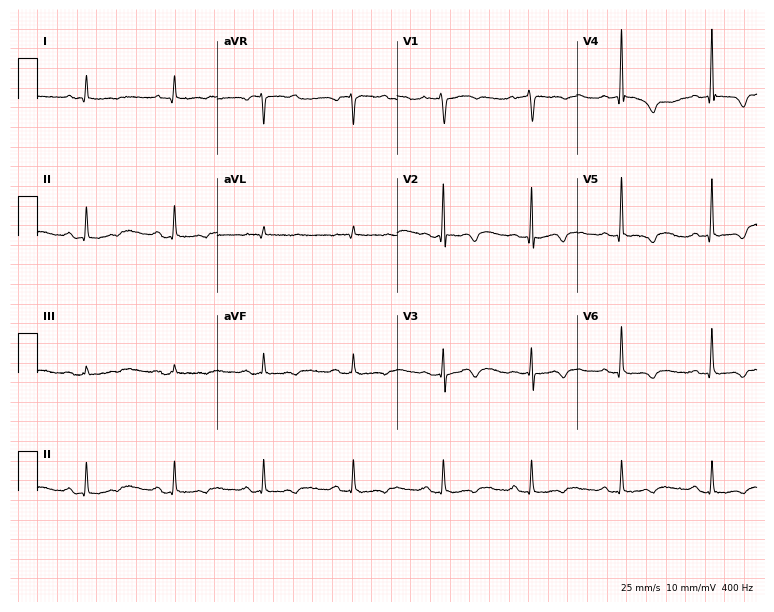
Resting 12-lead electrocardiogram (7.3-second recording at 400 Hz). Patient: a 69-year-old man. None of these six findings is recorded: first-degree AV block, right bundle branch block, left bundle branch block, sinus bradycardia, atrial fibrillation, sinus tachycardia. Findings outside these six are not listed.